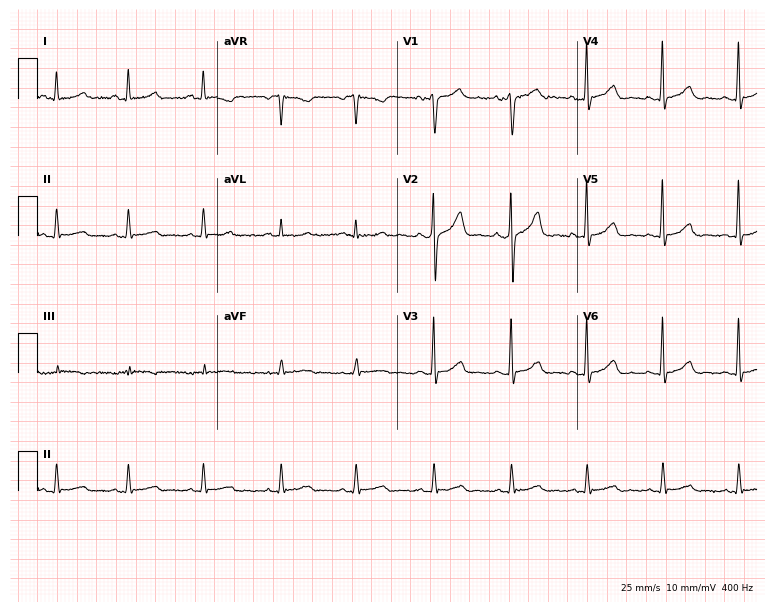
Resting 12-lead electrocardiogram. Patient: a 30-year-old man. None of these six findings is recorded: first-degree AV block, right bundle branch block, left bundle branch block, sinus bradycardia, atrial fibrillation, sinus tachycardia. Only these six findings were labelled.